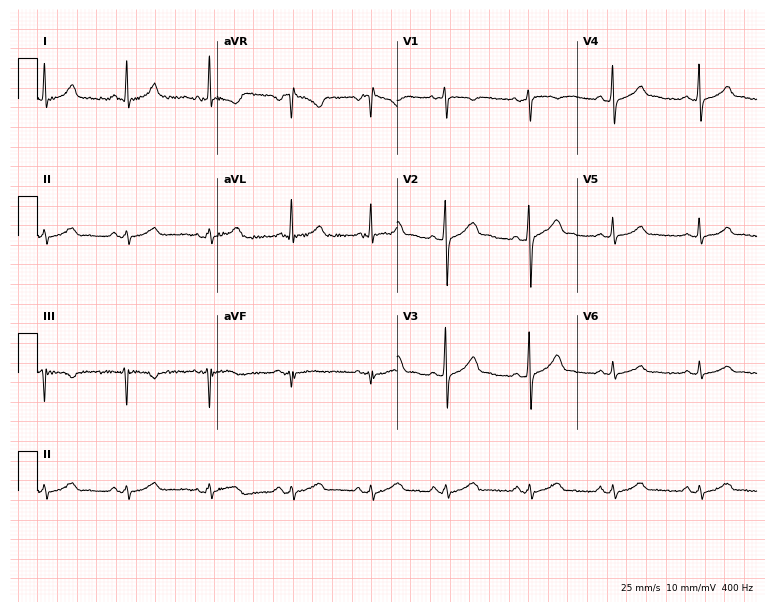
Resting 12-lead electrocardiogram (7.3-second recording at 400 Hz). Patient: a 44-year-old male. Read as a normal ECG.